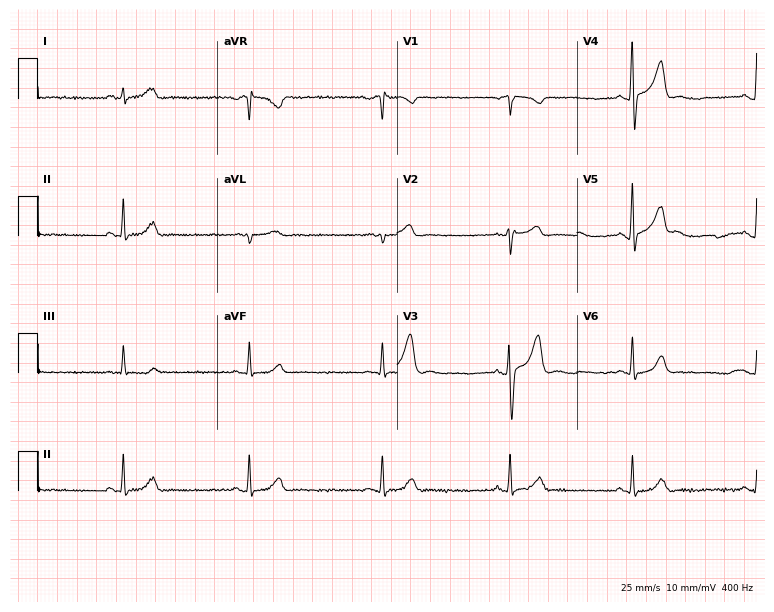
Standard 12-lead ECG recorded from a male, 31 years old (7.3-second recording at 400 Hz). The tracing shows sinus bradycardia (a sinus rate of 50 beats per minute or less).